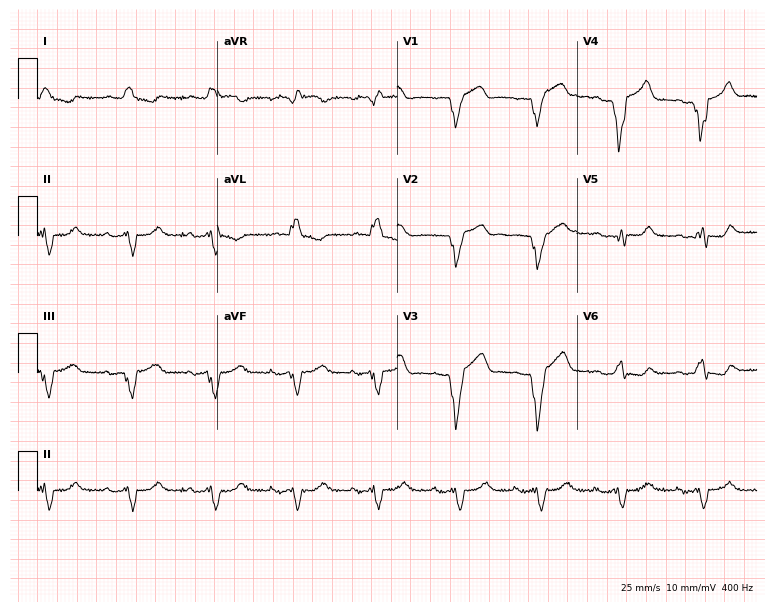
12-lead ECG from a 79-year-old man (7.3-second recording at 400 Hz). No first-degree AV block, right bundle branch block, left bundle branch block, sinus bradycardia, atrial fibrillation or sinus tachycardia recorded for this tracing.